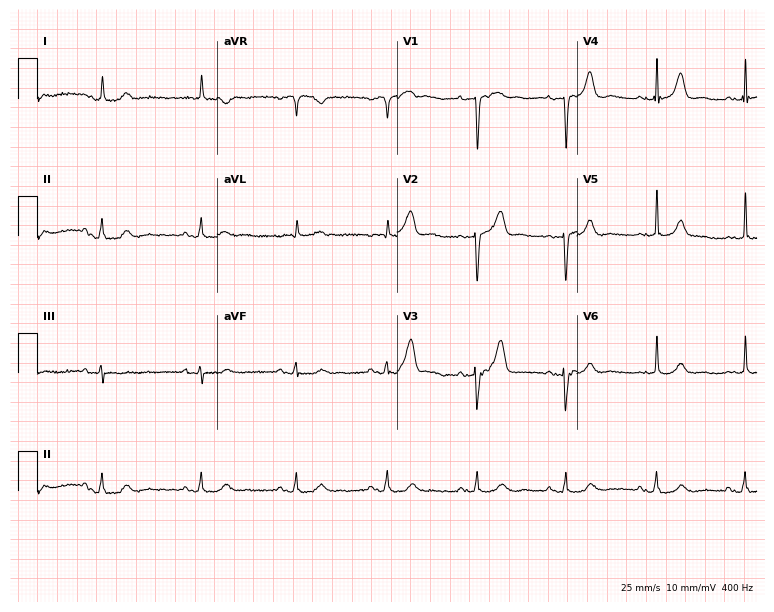
12-lead ECG from a male, 82 years old. No first-degree AV block, right bundle branch block, left bundle branch block, sinus bradycardia, atrial fibrillation or sinus tachycardia recorded for this tracing. Only these six findings were labelled.